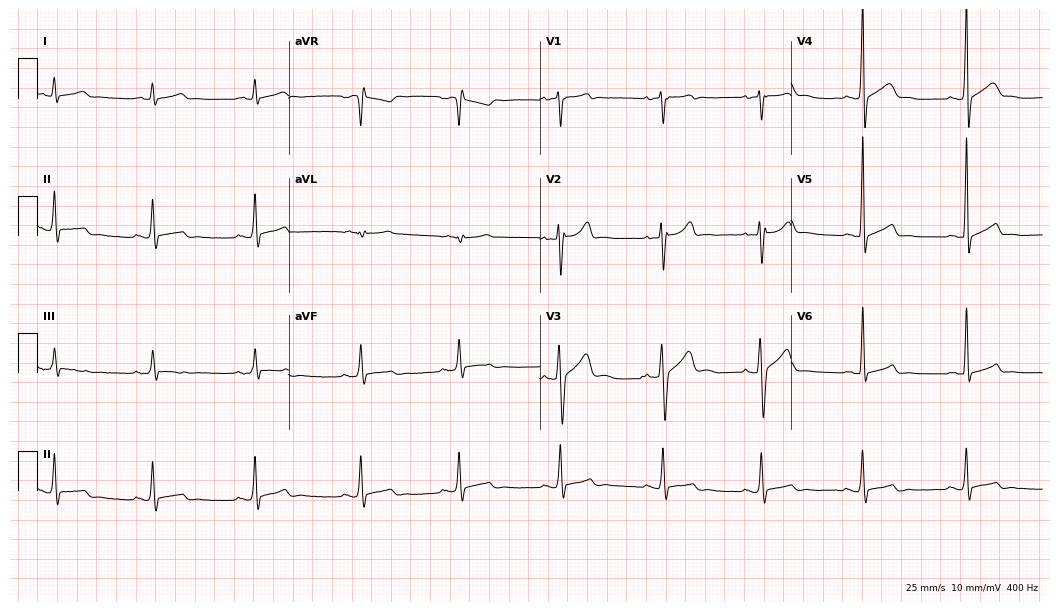
Standard 12-lead ECG recorded from a male, 29 years old. None of these six findings is recorded: first-degree AV block, right bundle branch block, left bundle branch block, sinus bradycardia, atrial fibrillation, sinus tachycardia. Only these six findings were labelled.